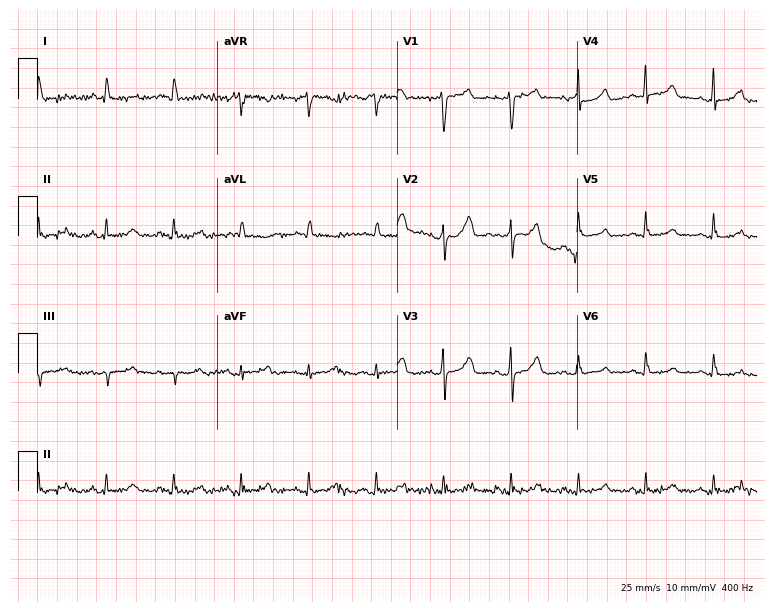
12-lead ECG (7.3-second recording at 400 Hz) from a 59-year-old female. Screened for six findings — first-degree AV block, right bundle branch block (RBBB), left bundle branch block (LBBB), sinus bradycardia, atrial fibrillation (AF), sinus tachycardia — none is recorded.